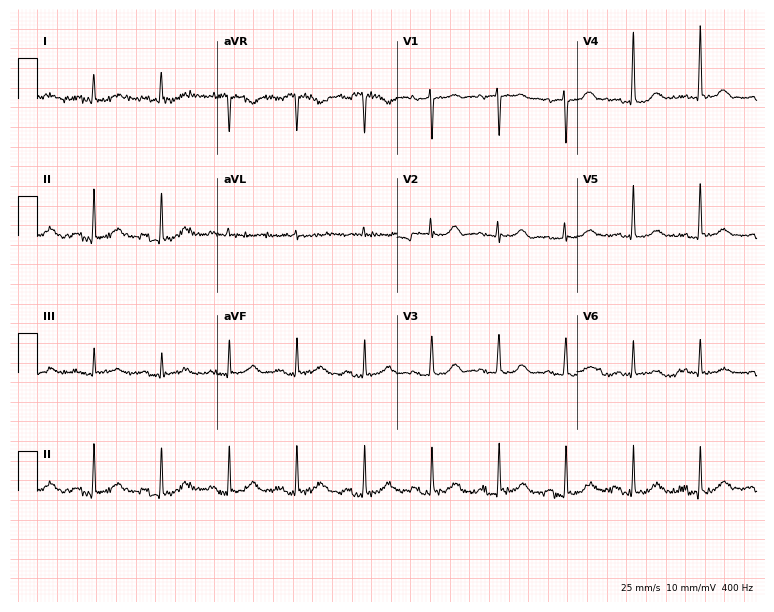
12-lead ECG from a woman, 72 years old. Screened for six findings — first-degree AV block, right bundle branch block, left bundle branch block, sinus bradycardia, atrial fibrillation, sinus tachycardia — none is recorded. Other findings, if any, are not listed.